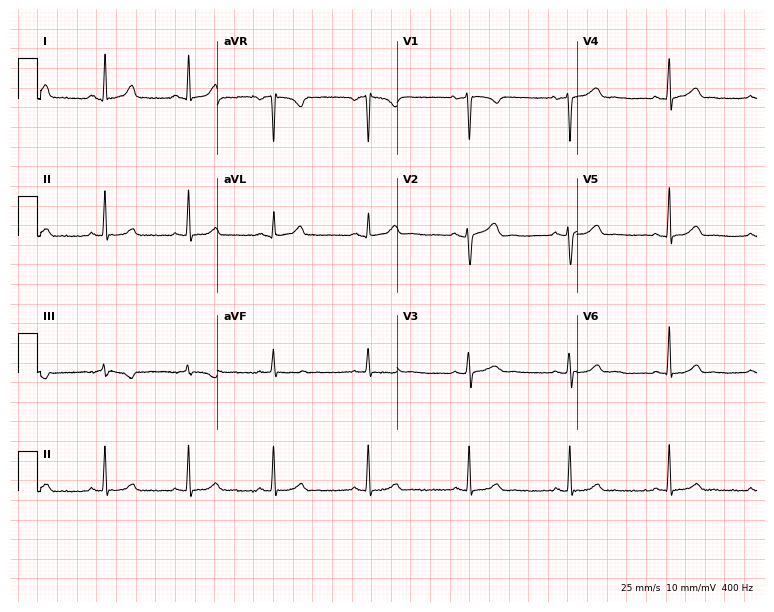
ECG (7.3-second recording at 400 Hz) — a female, 21 years old. Labelled as a normal ECG.